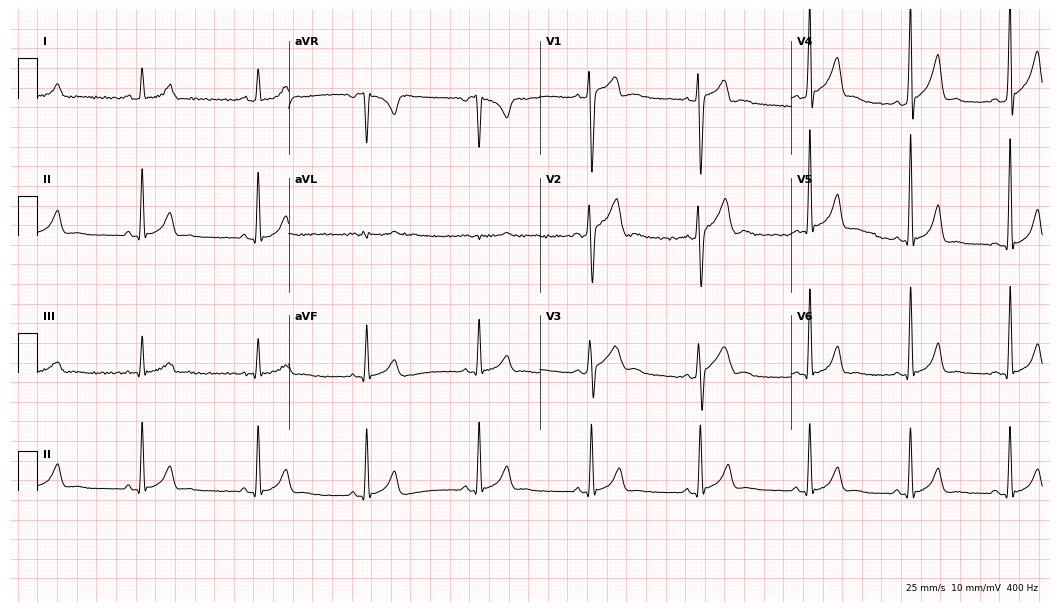
12-lead ECG from a 20-year-old male (10.2-second recording at 400 Hz). Recorded interpretation: within normal limits.